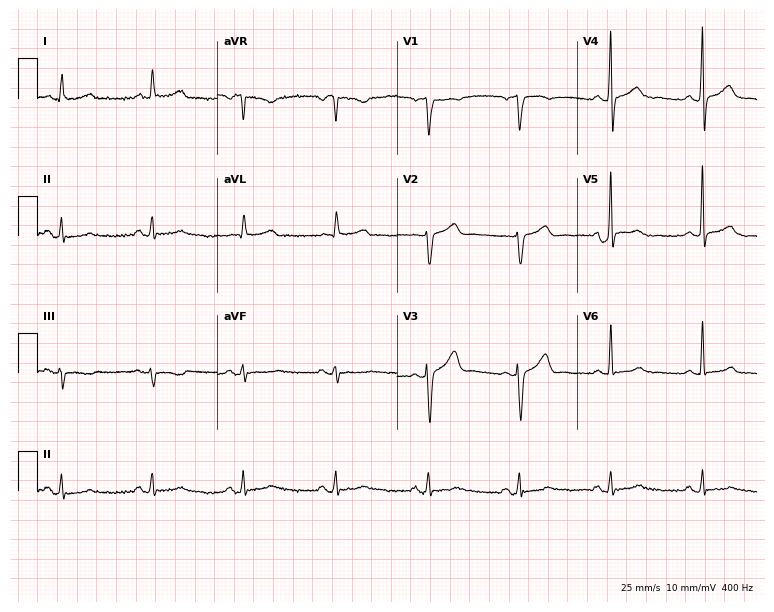
Electrocardiogram (7.3-second recording at 400 Hz), a 70-year-old male patient. Of the six screened findings (first-degree AV block, right bundle branch block, left bundle branch block, sinus bradycardia, atrial fibrillation, sinus tachycardia), none is recorded. Other findings, if any, are not listed.